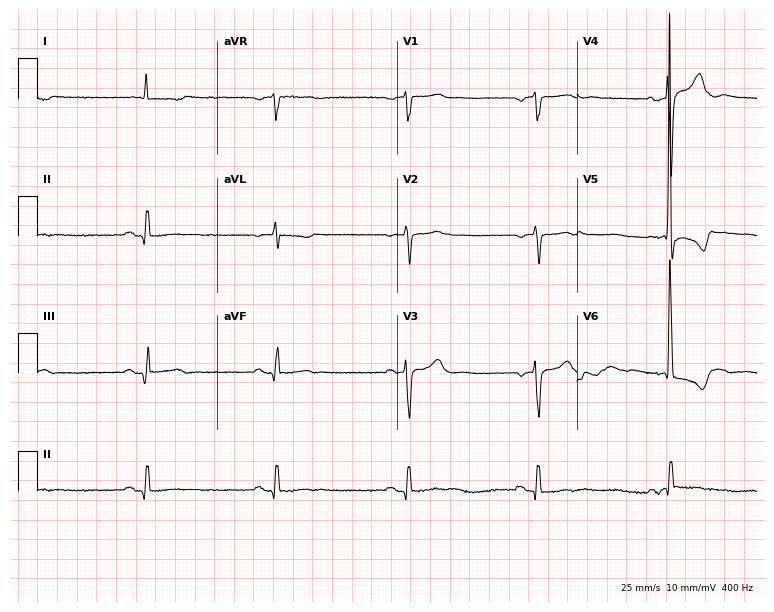
Standard 12-lead ECG recorded from a man, 78 years old. The tracing shows sinus bradycardia (a sinus rate of 50 beats per minute or less).